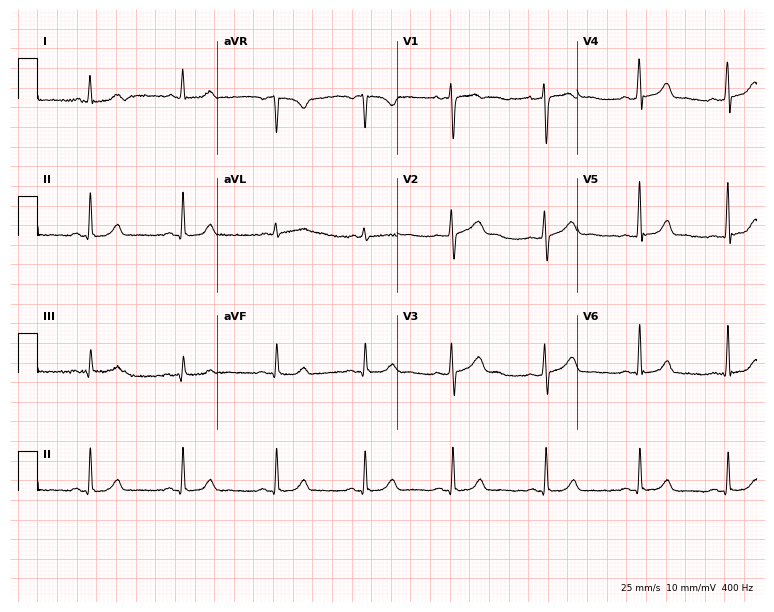
Standard 12-lead ECG recorded from a female, 37 years old. None of these six findings is recorded: first-degree AV block, right bundle branch block, left bundle branch block, sinus bradycardia, atrial fibrillation, sinus tachycardia.